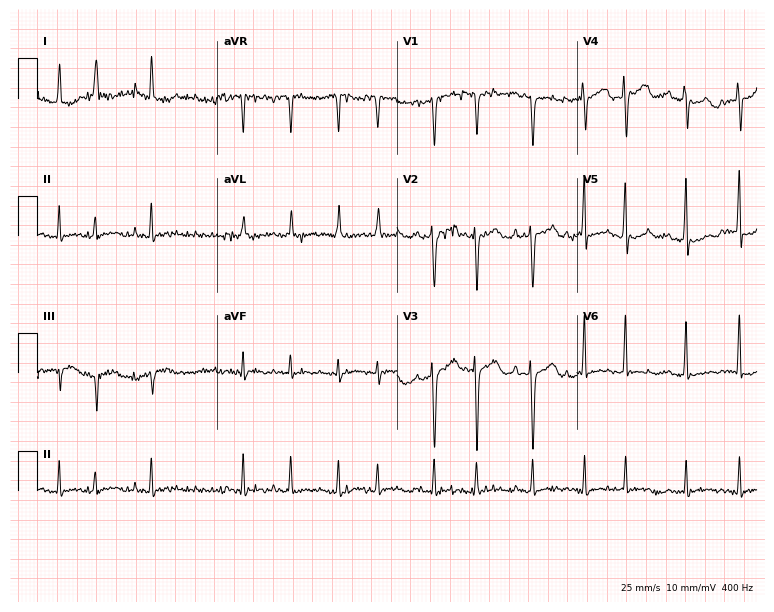
12-lead ECG from a 58-year-old female (7.3-second recording at 400 Hz). No first-degree AV block, right bundle branch block, left bundle branch block, sinus bradycardia, atrial fibrillation or sinus tachycardia recorded for this tracing. Only these six findings were labelled.